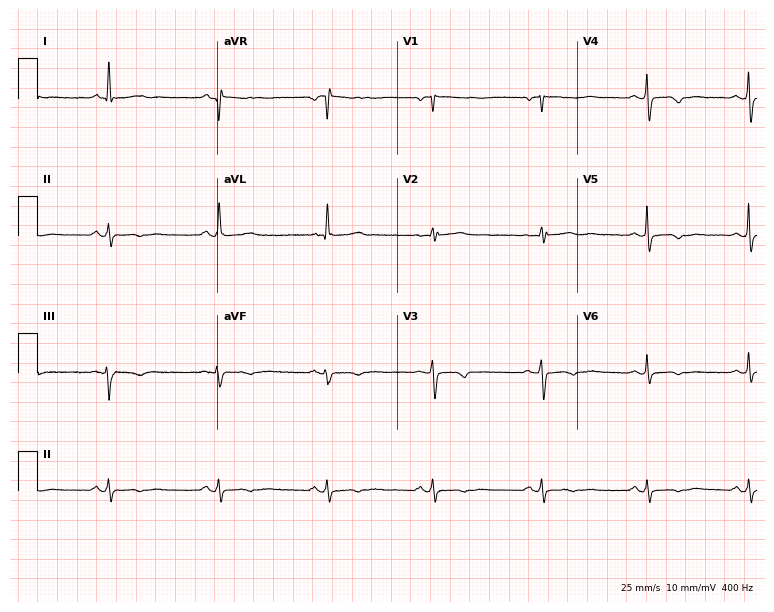
Electrocardiogram, an 81-year-old female. Of the six screened findings (first-degree AV block, right bundle branch block (RBBB), left bundle branch block (LBBB), sinus bradycardia, atrial fibrillation (AF), sinus tachycardia), none is recorded. Other findings, if any, are not listed.